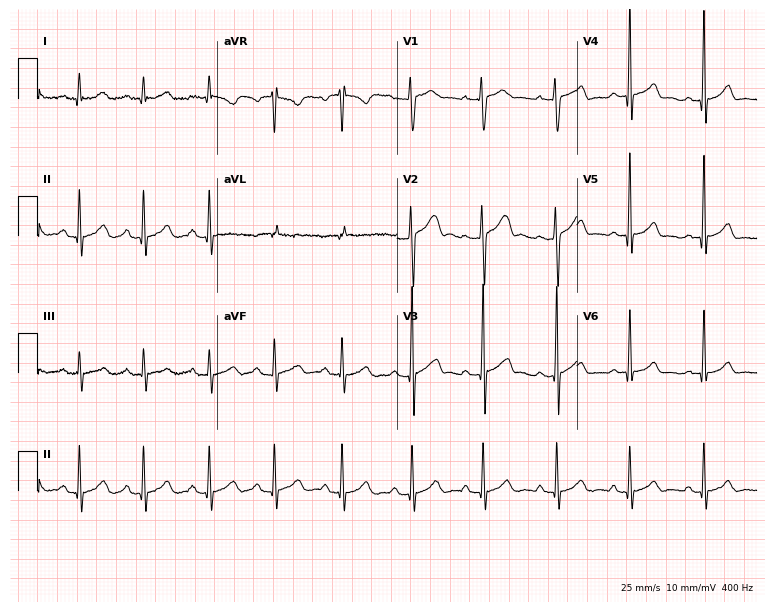
12-lead ECG from an 18-year-old male. No first-degree AV block, right bundle branch block (RBBB), left bundle branch block (LBBB), sinus bradycardia, atrial fibrillation (AF) or sinus tachycardia recorded for this tracing. Findings outside these six are not listed.